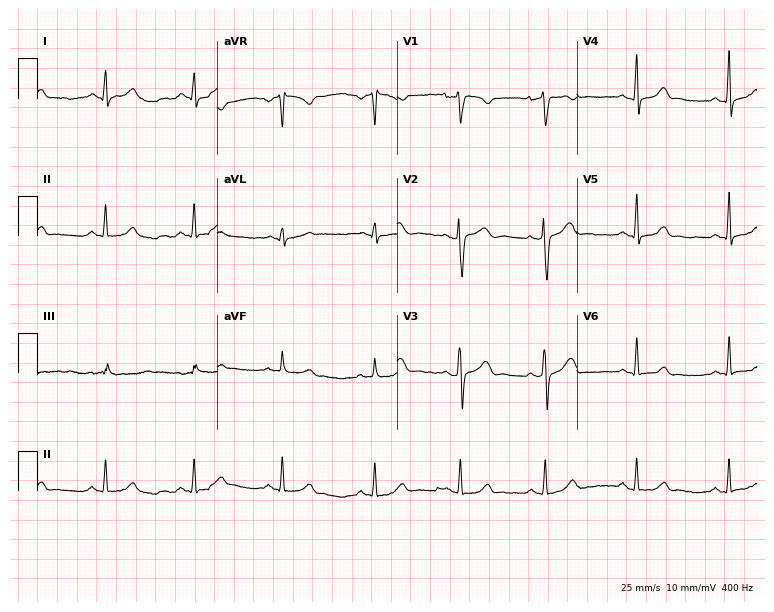
Electrocardiogram (7.3-second recording at 400 Hz), a 27-year-old female. Overall reading on record: normal ECG.